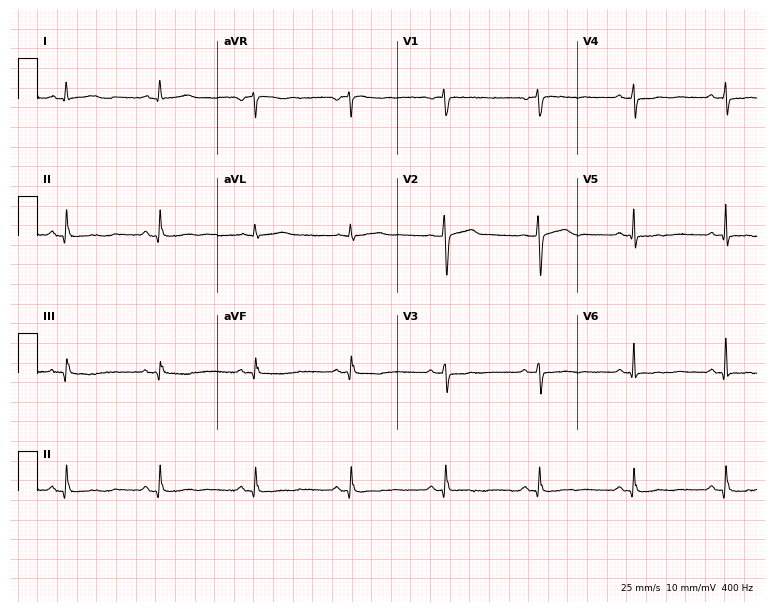
12-lead ECG from a male patient, 60 years old. Screened for six findings — first-degree AV block, right bundle branch block, left bundle branch block, sinus bradycardia, atrial fibrillation, sinus tachycardia — none is recorded. Findings outside these six are not listed.